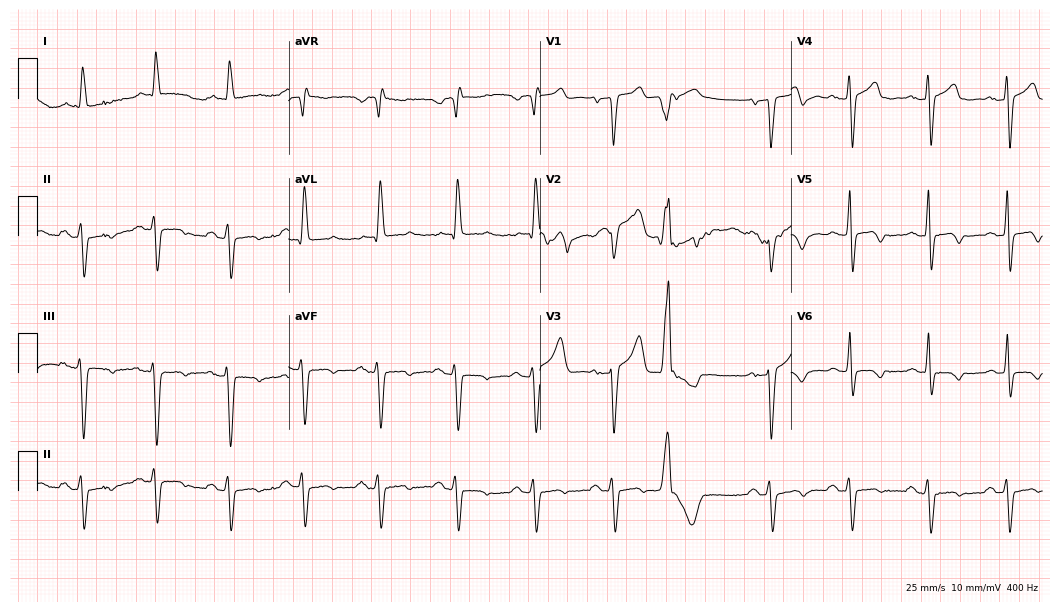
12-lead ECG from a 62-year-old male. No first-degree AV block, right bundle branch block (RBBB), left bundle branch block (LBBB), sinus bradycardia, atrial fibrillation (AF) or sinus tachycardia recorded for this tracing. Findings outside these six are not listed.